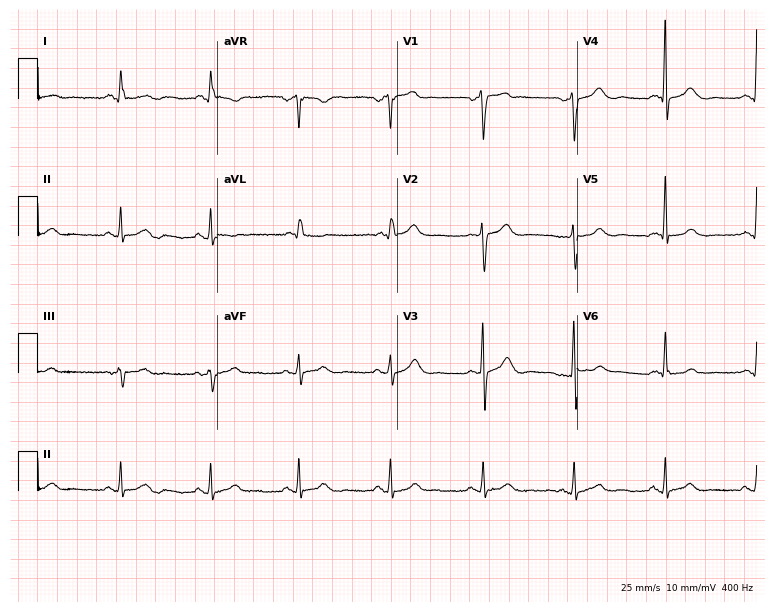
ECG (7.3-second recording at 400 Hz) — a male, 74 years old. Labelled as a normal ECG.